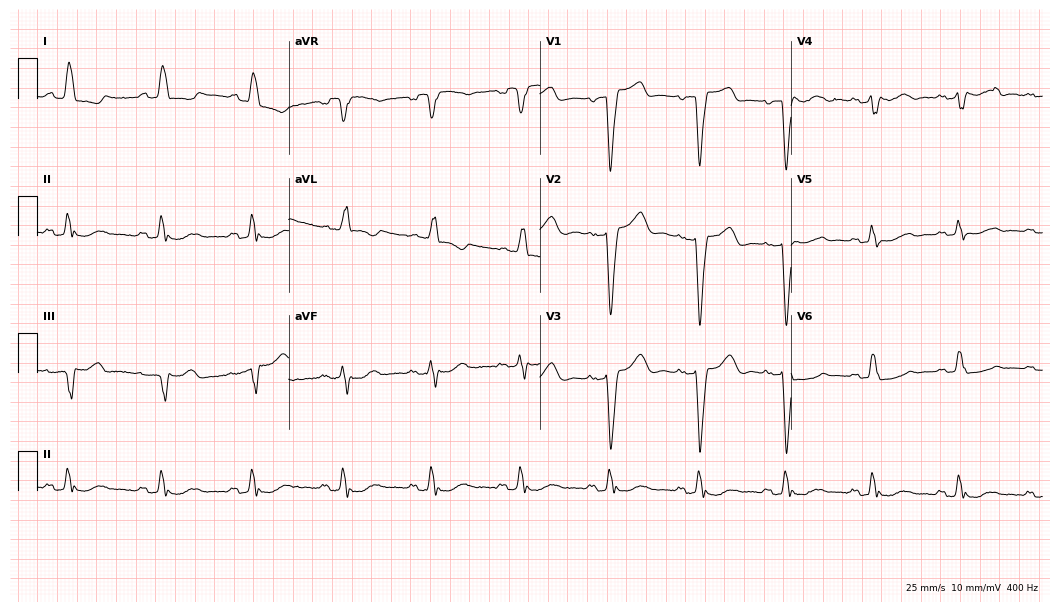
12-lead ECG (10.2-second recording at 400 Hz) from a 57-year-old female patient. Findings include left bundle branch block.